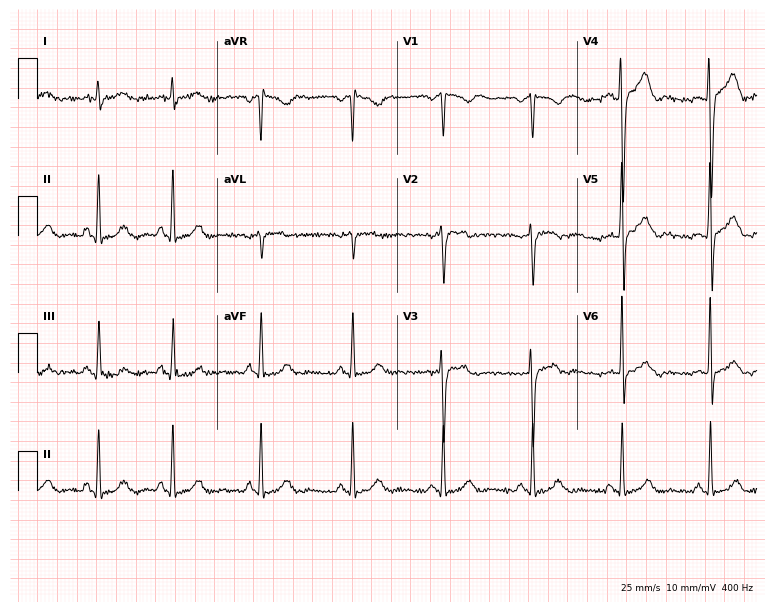
12-lead ECG (7.3-second recording at 400 Hz) from a male, 37 years old. Labelled as a normal ECG.